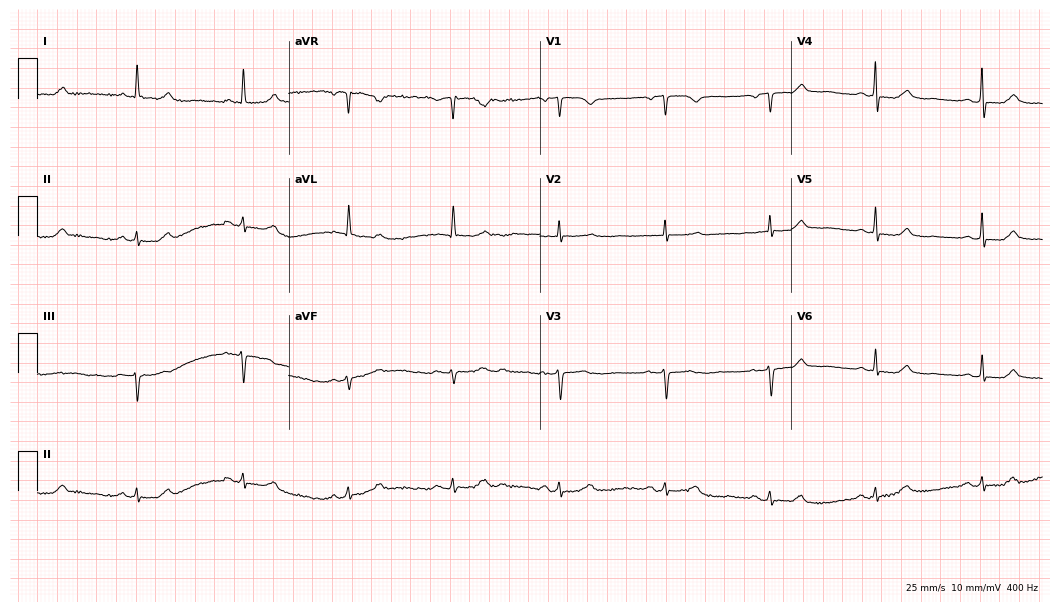
12-lead ECG from a male, 85 years old. Recorded interpretation: within normal limits.